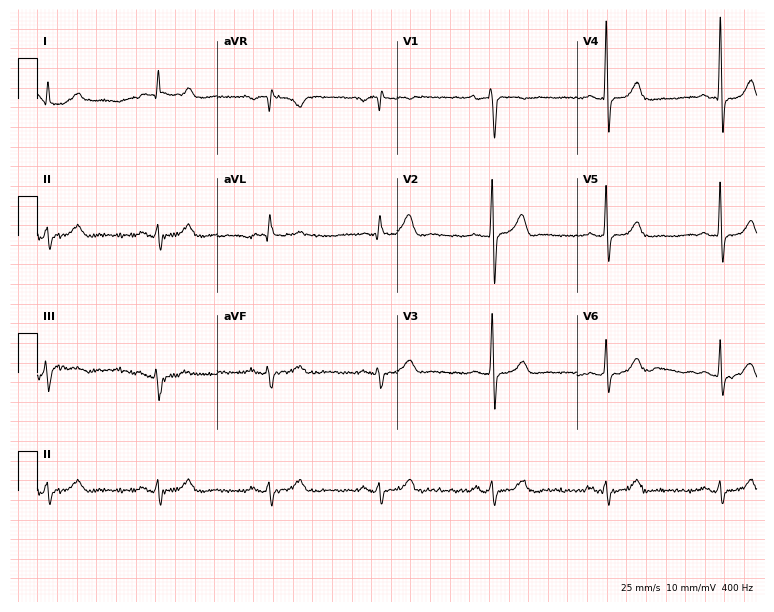
Resting 12-lead electrocardiogram. Patient: a 74-year-old male. None of these six findings is recorded: first-degree AV block, right bundle branch block (RBBB), left bundle branch block (LBBB), sinus bradycardia, atrial fibrillation (AF), sinus tachycardia. Other findings, if any, are not listed.